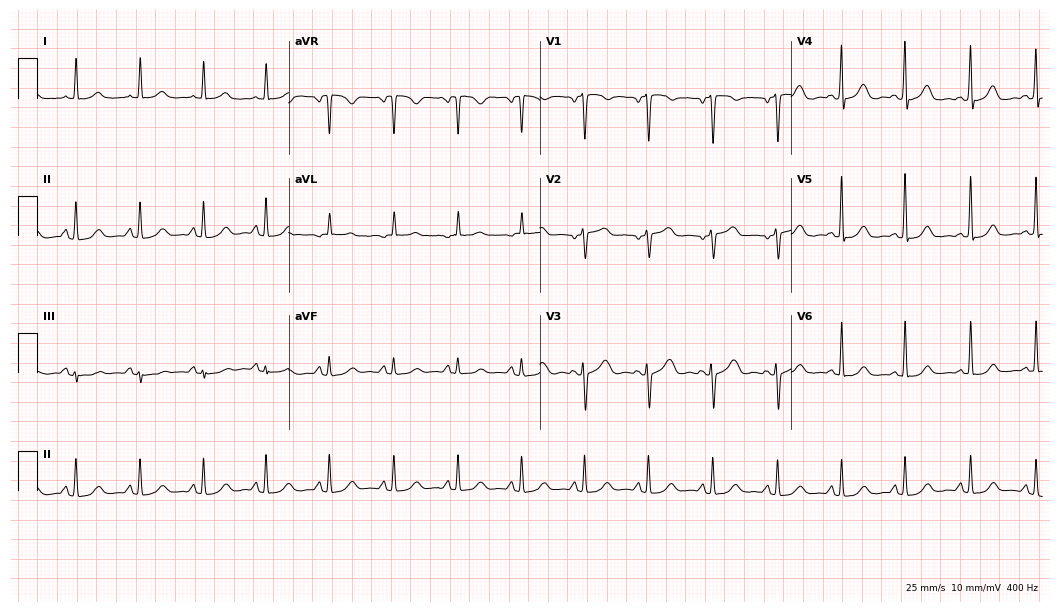
Resting 12-lead electrocardiogram. Patient: a woman, 74 years old. Read as a normal ECG.